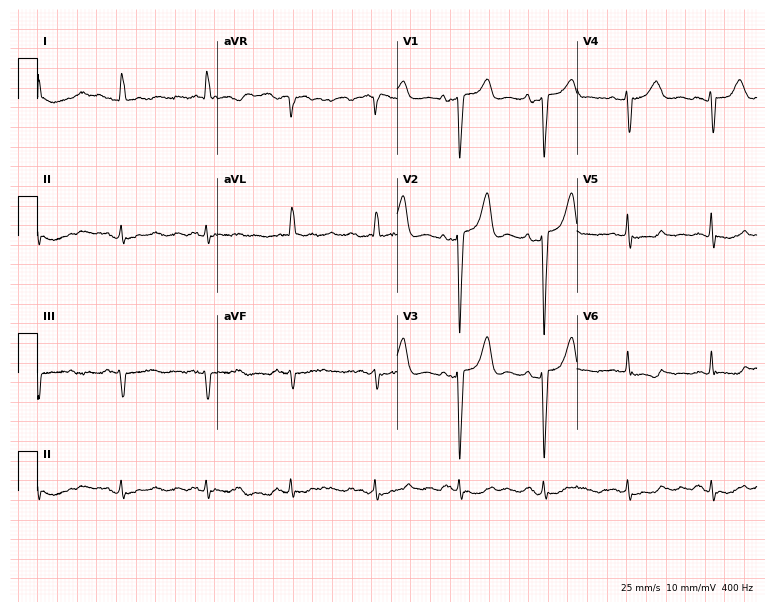
12-lead ECG from a woman, 84 years old. No first-degree AV block, right bundle branch block, left bundle branch block, sinus bradycardia, atrial fibrillation or sinus tachycardia recorded for this tracing.